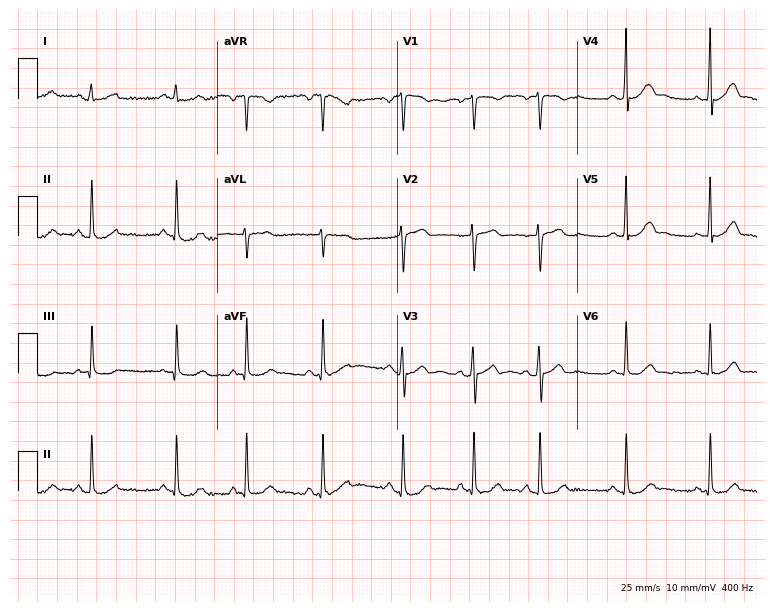
12-lead ECG from a 20-year-old woman. No first-degree AV block, right bundle branch block, left bundle branch block, sinus bradycardia, atrial fibrillation or sinus tachycardia recorded for this tracing.